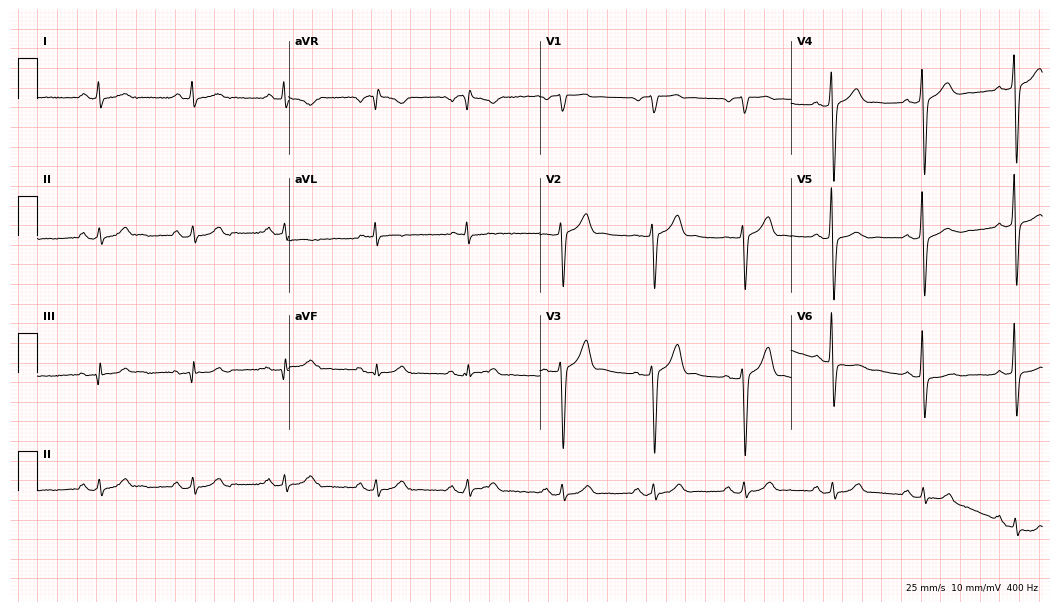
Resting 12-lead electrocardiogram (10.2-second recording at 400 Hz). Patient: a 37-year-old male. None of these six findings is recorded: first-degree AV block, right bundle branch block (RBBB), left bundle branch block (LBBB), sinus bradycardia, atrial fibrillation (AF), sinus tachycardia. Only these six findings were labelled.